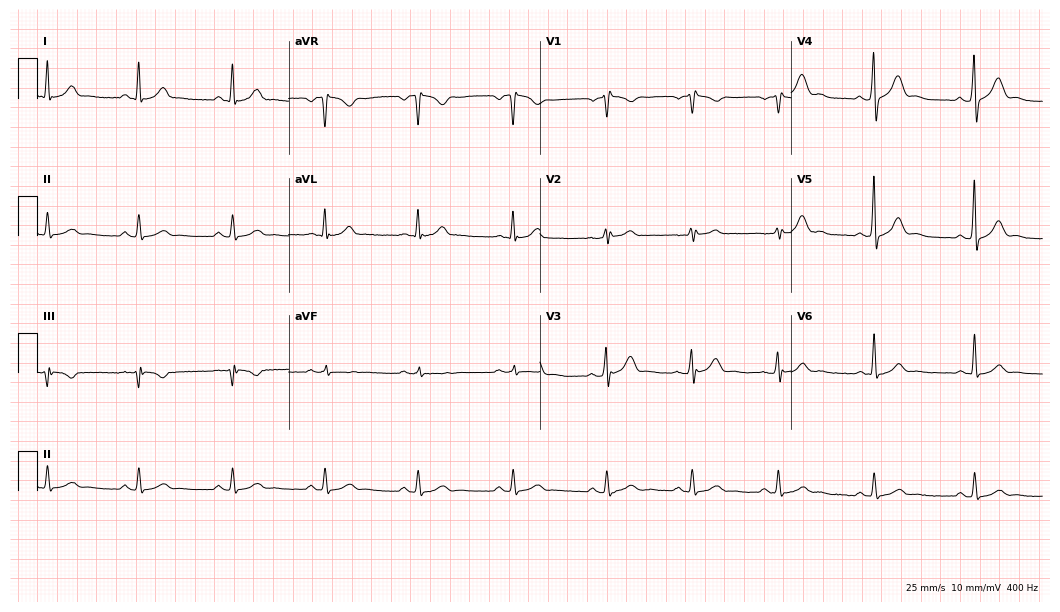
12-lead ECG from a 34-year-old male patient (10.2-second recording at 400 Hz). No first-degree AV block, right bundle branch block (RBBB), left bundle branch block (LBBB), sinus bradycardia, atrial fibrillation (AF) or sinus tachycardia recorded for this tracing.